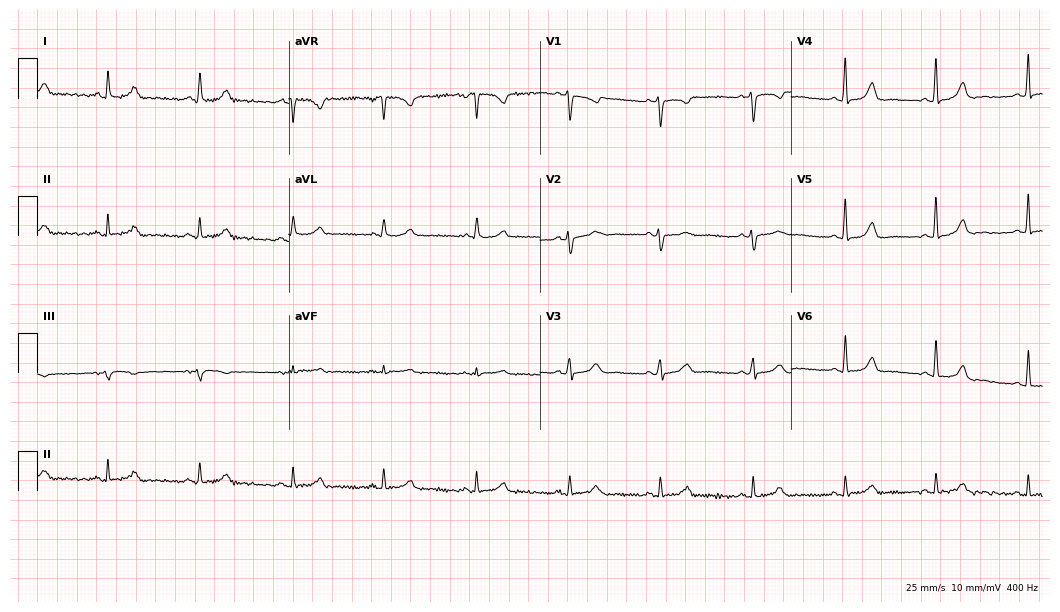
Electrocardiogram (10.2-second recording at 400 Hz), a female patient, 42 years old. Overall reading on record: normal ECG.